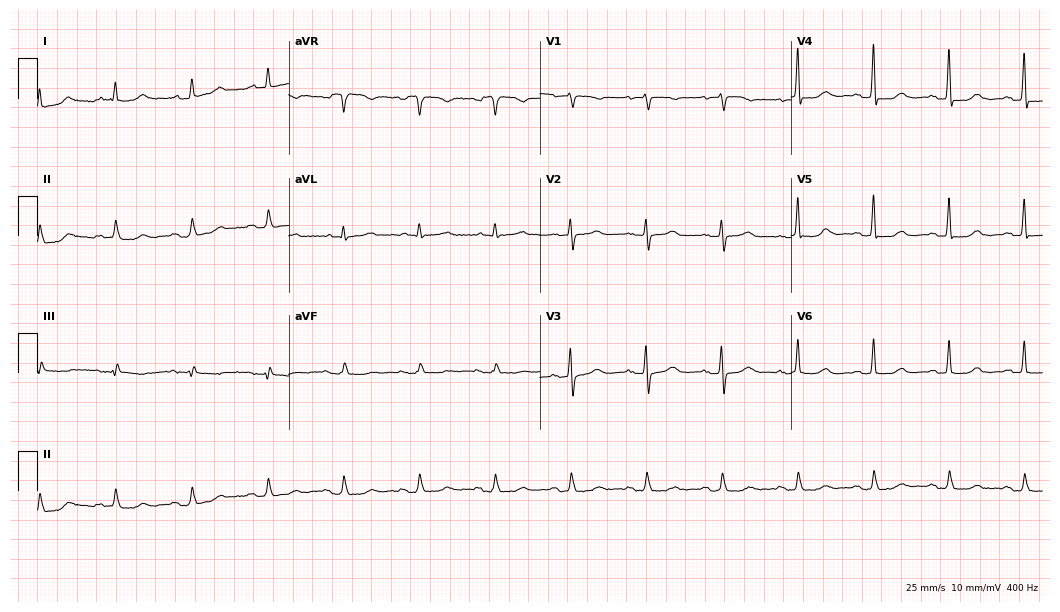
Standard 12-lead ECG recorded from an 80-year-old woman. Read as a normal ECG.